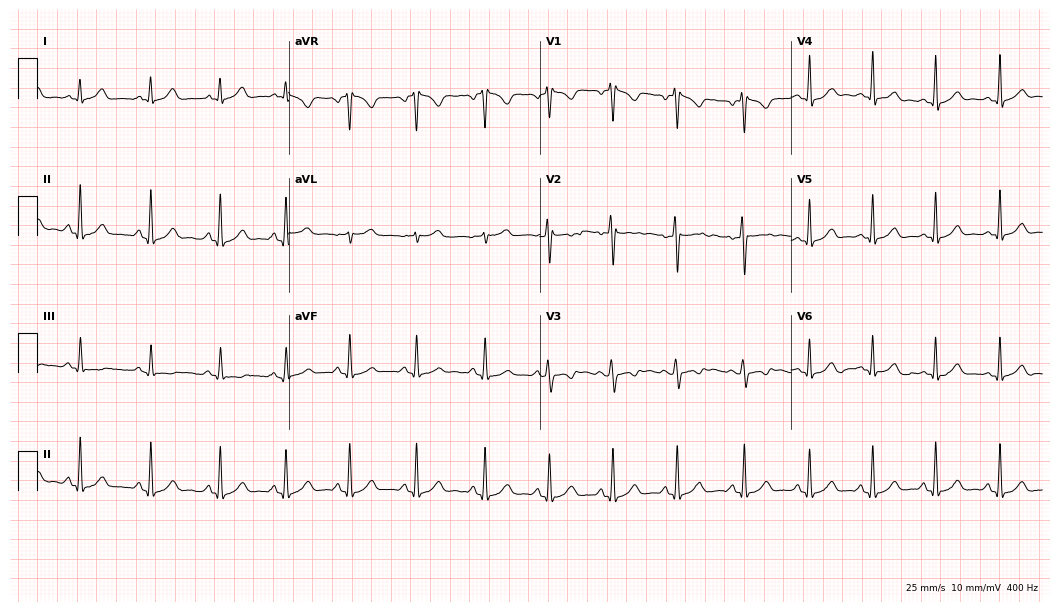
12-lead ECG from a woman, 18 years old (10.2-second recording at 400 Hz). No first-degree AV block, right bundle branch block (RBBB), left bundle branch block (LBBB), sinus bradycardia, atrial fibrillation (AF) or sinus tachycardia recorded for this tracing. Findings outside these six are not listed.